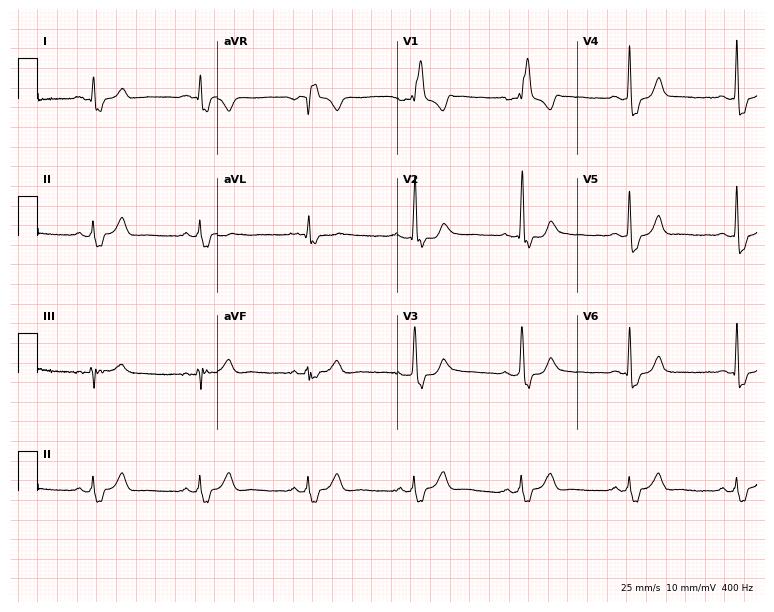
Standard 12-lead ECG recorded from a 73-year-old male patient. The tracing shows right bundle branch block.